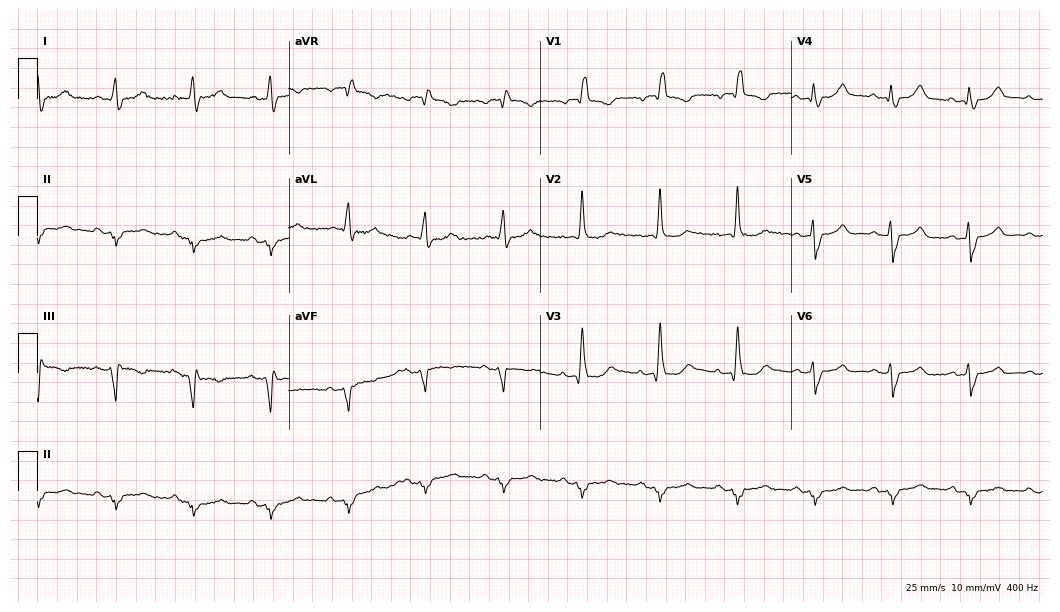
ECG (10.2-second recording at 400 Hz) — a male patient, 80 years old. Findings include right bundle branch block (RBBB).